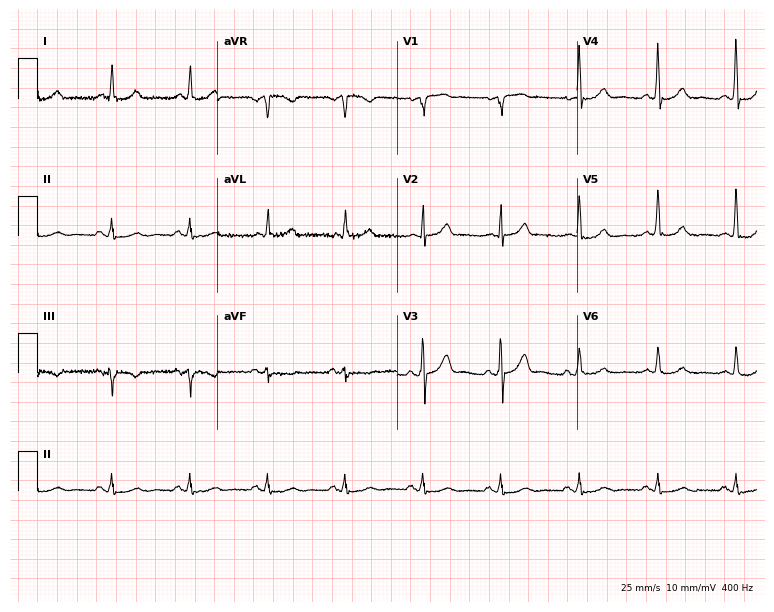
Standard 12-lead ECG recorded from a male patient, 66 years old (7.3-second recording at 400 Hz). None of these six findings is recorded: first-degree AV block, right bundle branch block, left bundle branch block, sinus bradycardia, atrial fibrillation, sinus tachycardia. Other findings, if any, are not listed.